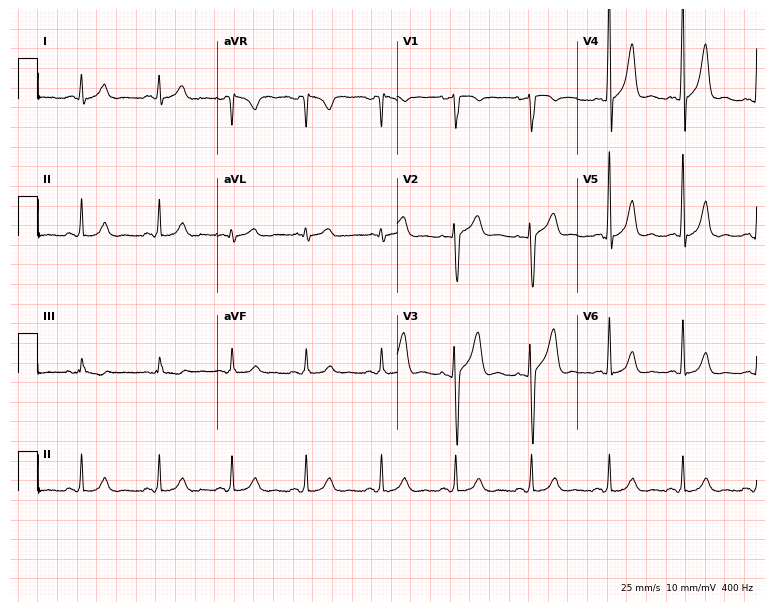
12-lead ECG from a man, 36 years old (7.3-second recording at 400 Hz). No first-degree AV block, right bundle branch block, left bundle branch block, sinus bradycardia, atrial fibrillation or sinus tachycardia recorded for this tracing.